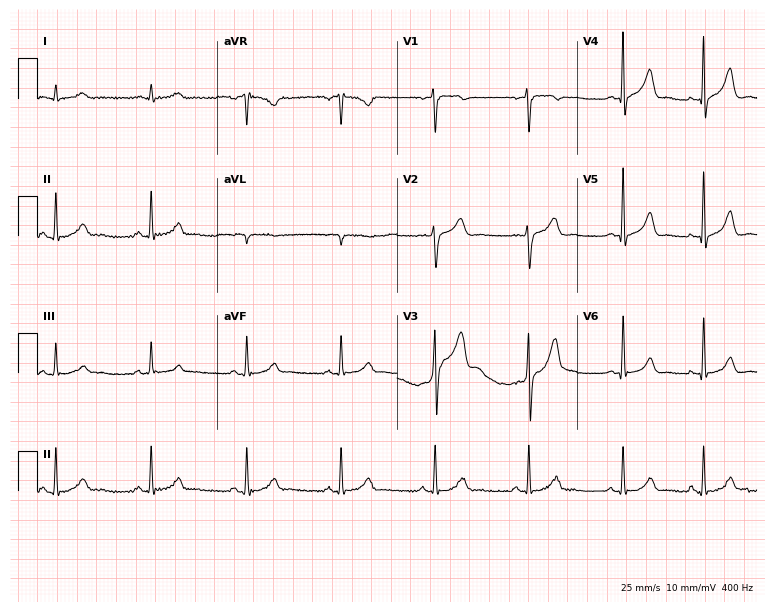
Electrocardiogram, a male, 42 years old. Overall reading on record: normal ECG.